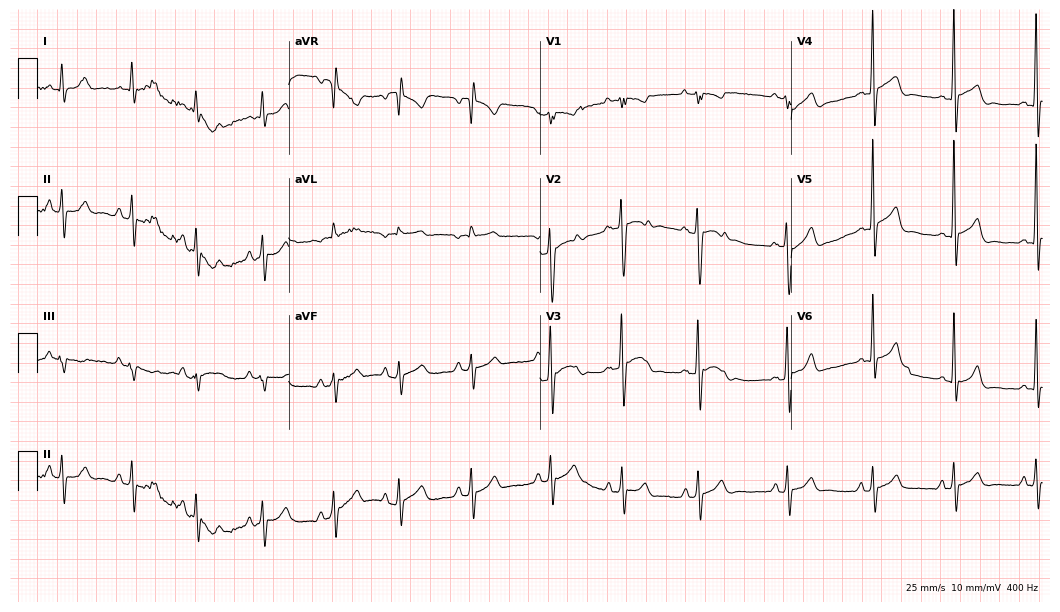
ECG — a male patient, 17 years old. Screened for six findings — first-degree AV block, right bundle branch block, left bundle branch block, sinus bradycardia, atrial fibrillation, sinus tachycardia — none is recorded. Other findings, if any, are not listed.